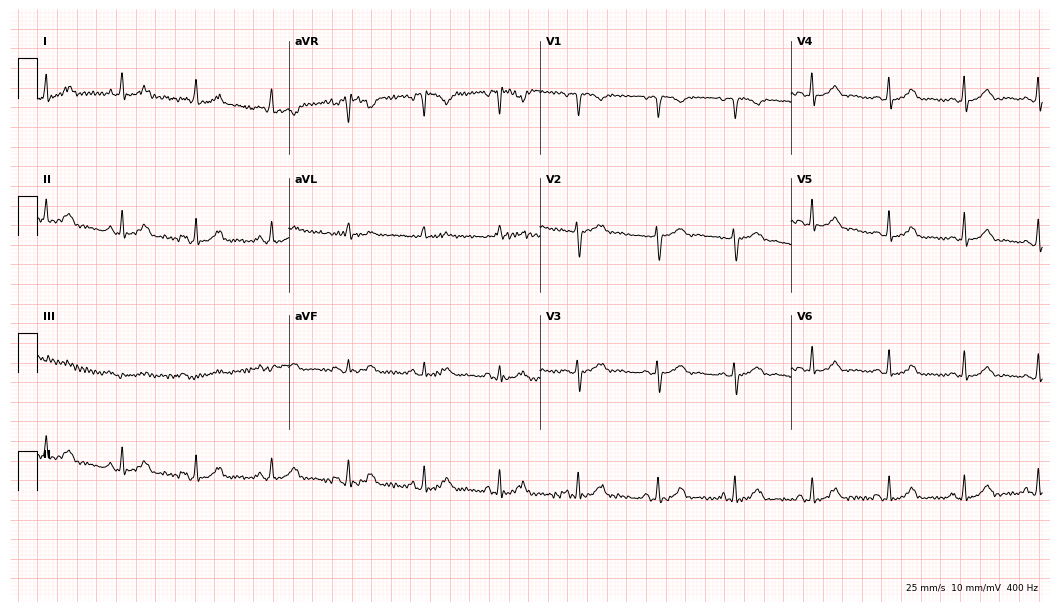
Electrocardiogram (10.2-second recording at 400 Hz), a 36-year-old female patient. Overall reading on record: normal ECG.